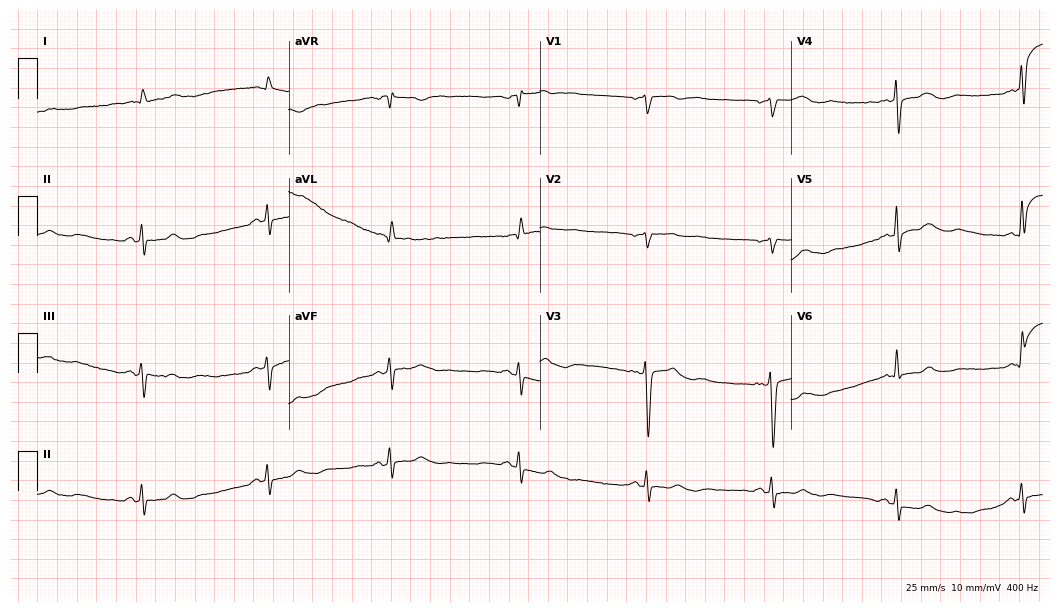
Electrocardiogram (10.2-second recording at 400 Hz), a 61-year-old female patient. Interpretation includes sinus bradycardia (a sinus rate of 50 beats per minute or less).